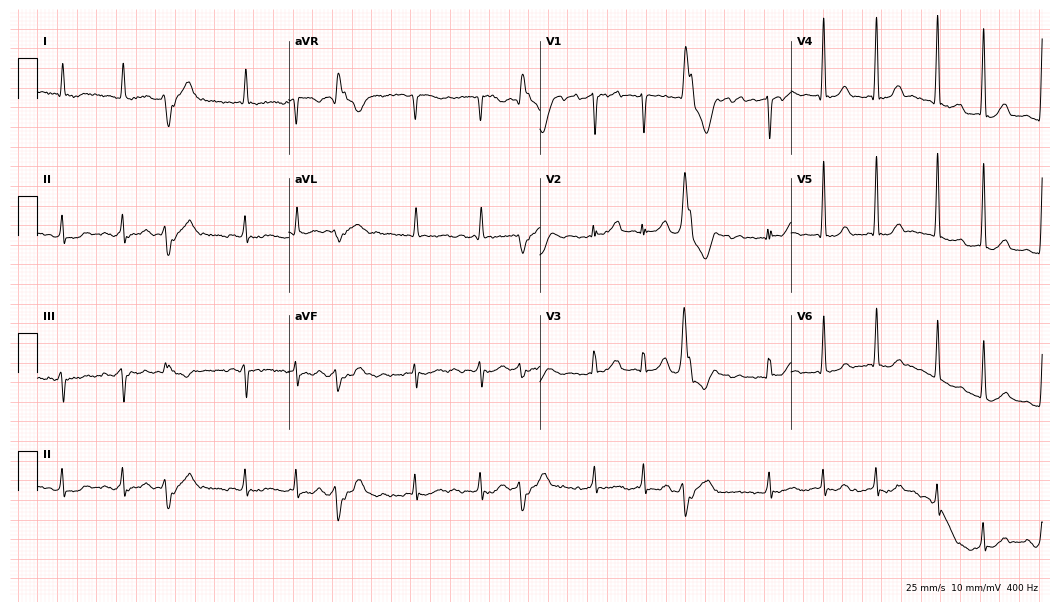
Electrocardiogram (10.2-second recording at 400 Hz), a male, 84 years old. Interpretation includes atrial fibrillation (AF).